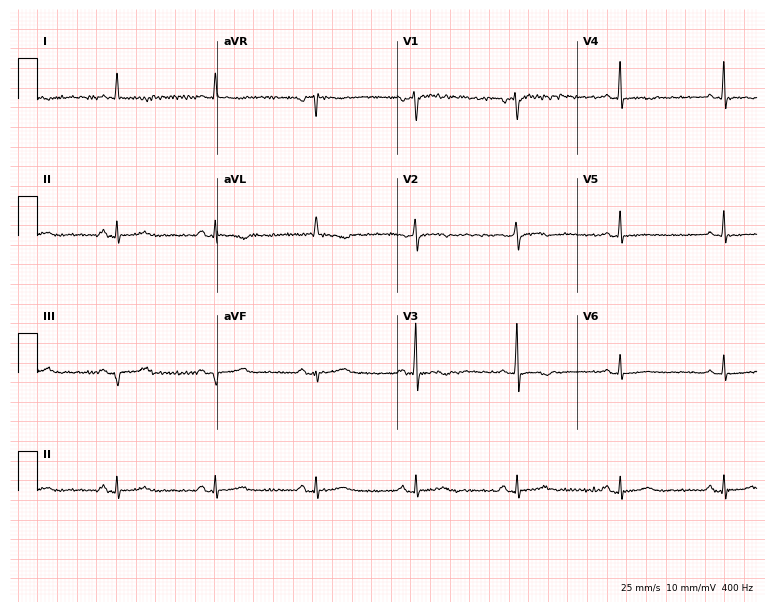
12-lead ECG from a man, 60 years old (7.3-second recording at 400 Hz). No first-degree AV block, right bundle branch block, left bundle branch block, sinus bradycardia, atrial fibrillation or sinus tachycardia recorded for this tracing.